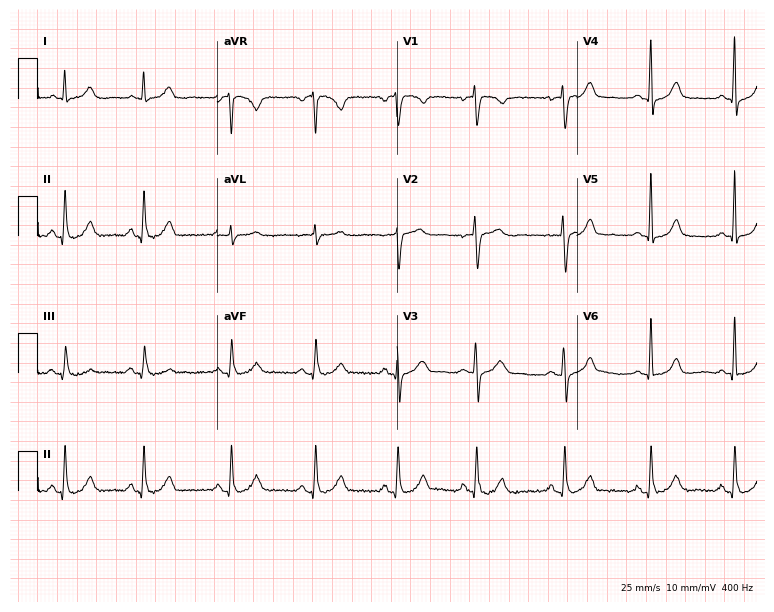
12-lead ECG from a 33-year-old female. Labelled as a normal ECG.